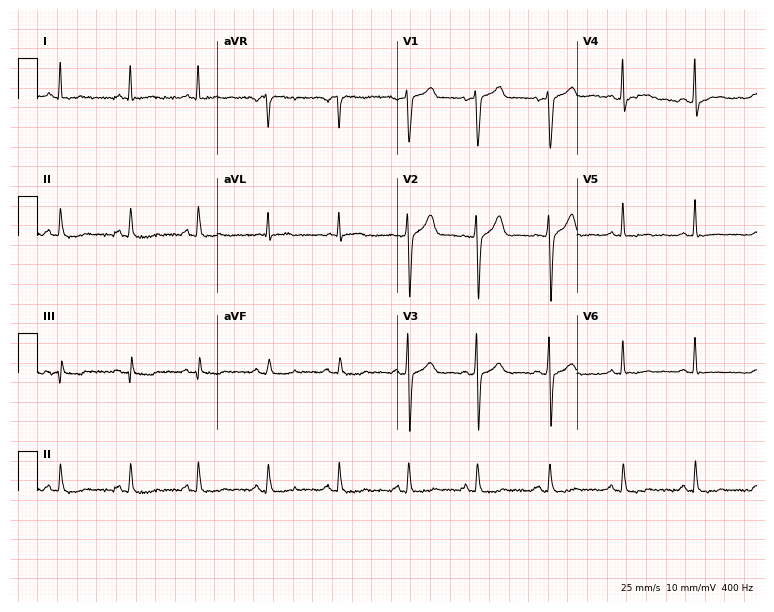
Resting 12-lead electrocardiogram. Patient: a 49-year-old male. Read as a normal ECG.